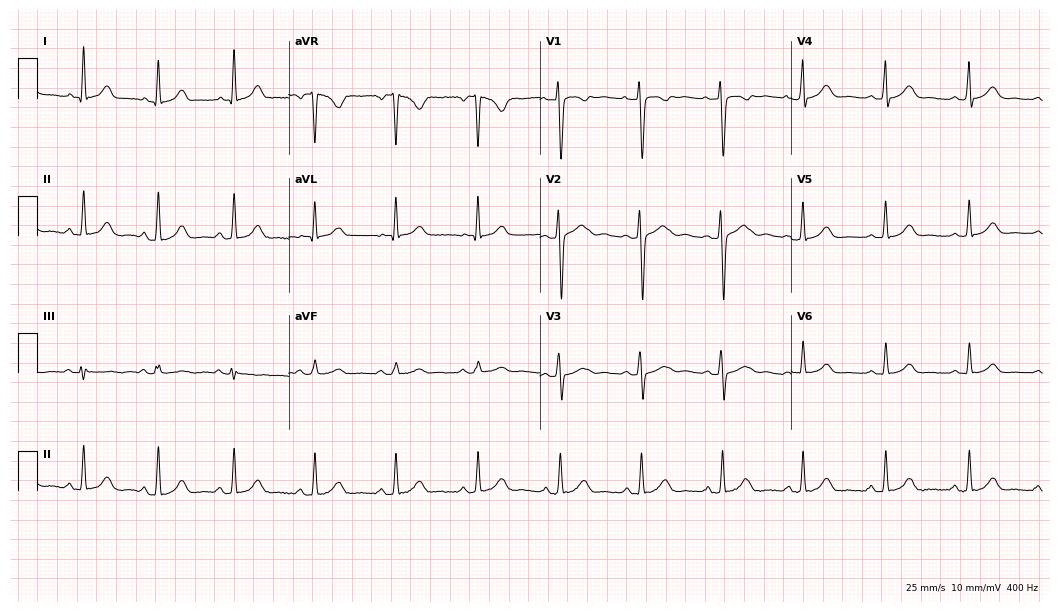
12-lead ECG from a 28-year-old female. Recorded interpretation: within normal limits.